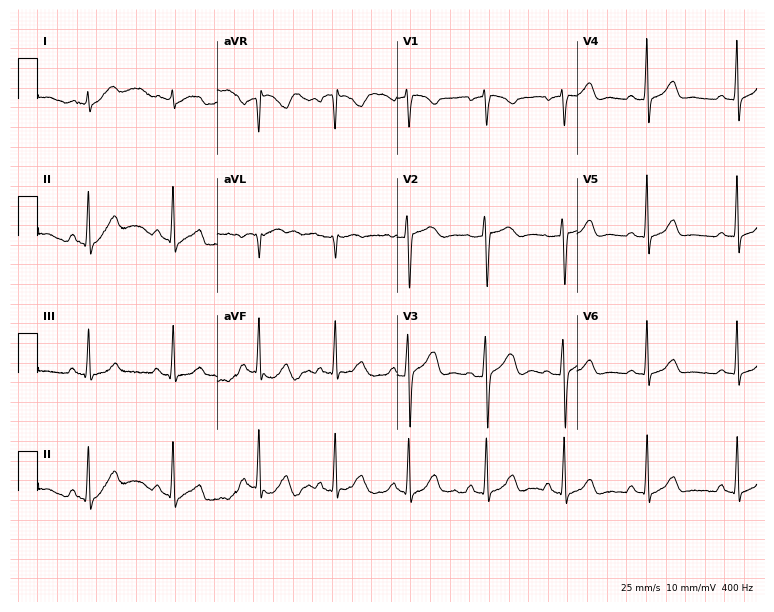
Resting 12-lead electrocardiogram (7.3-second recording at 400 Hz). Patient: a 58-year-old female. Read as a normal ECG.